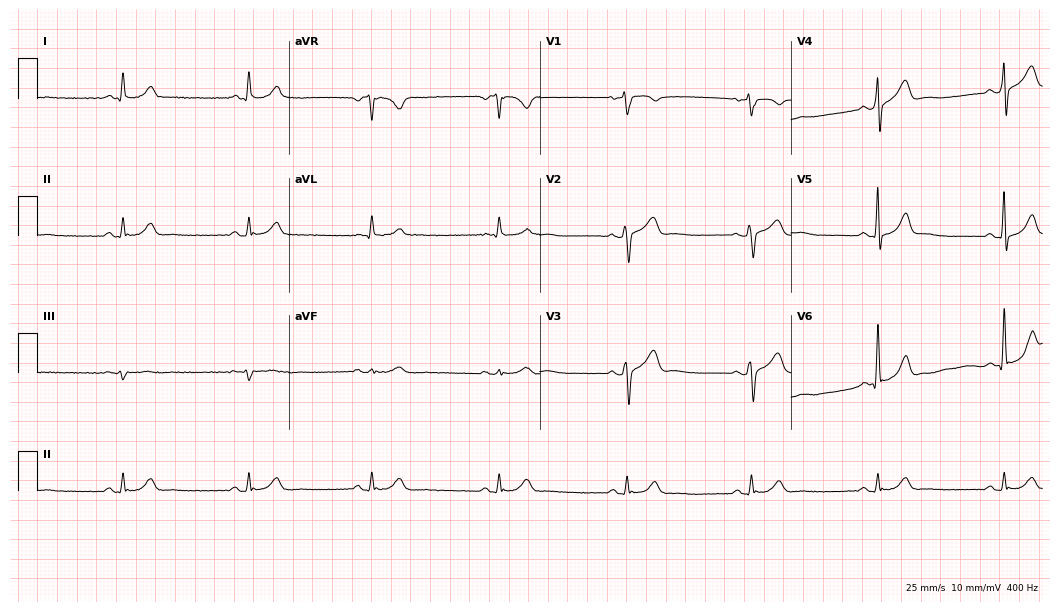
Resting 12-lead electrocardiogram (10.2-second recording at 400 Hz). Patient: a 50-year-old man. Read as a normal ECG.